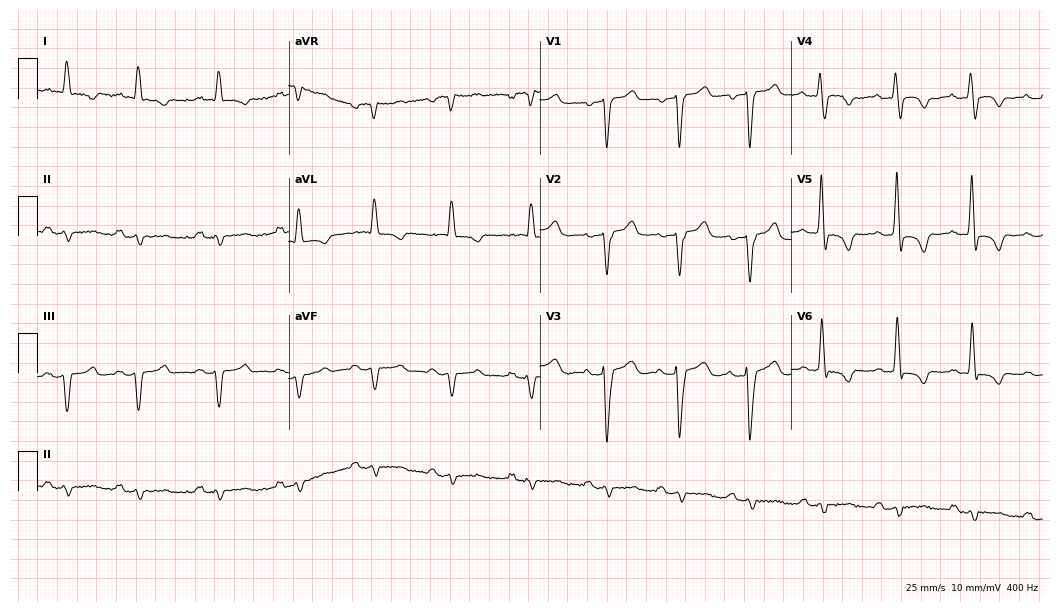
12-lead ECG from a 58-year-old man. No first-degree AV block, right bundle branch block (RBBB), left bundle branch block (LBBB), sinus bradycardia, atrial fibrillation (AF) or sinus tachycardia recorded for this tracing. Findings outside these six are not listed.